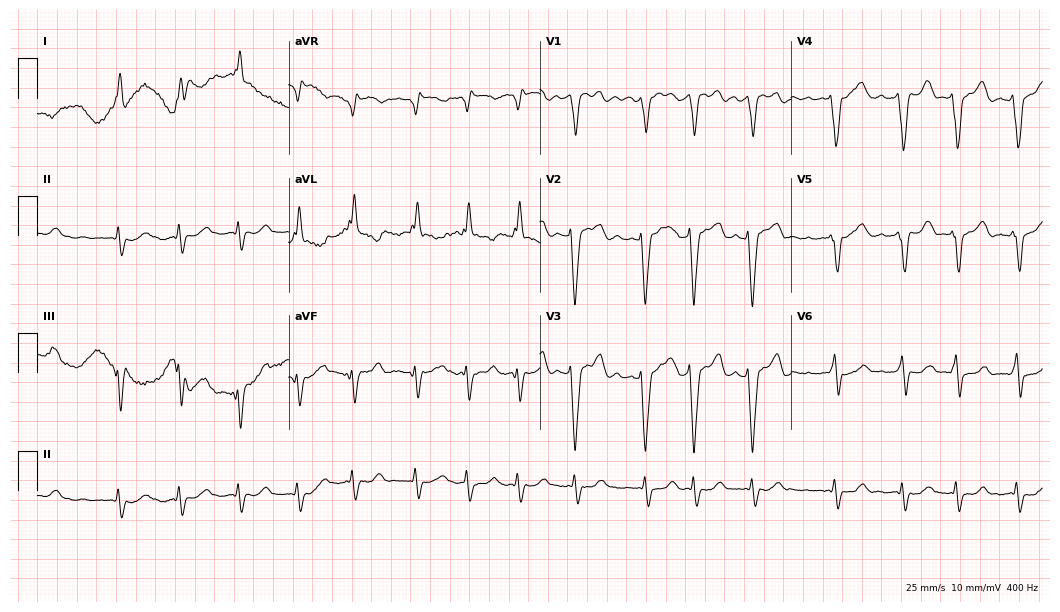
12-lead ECG (10.2-second recording at 400 Hz) from a man, 74 years old. Findings include atrial fibrillation.